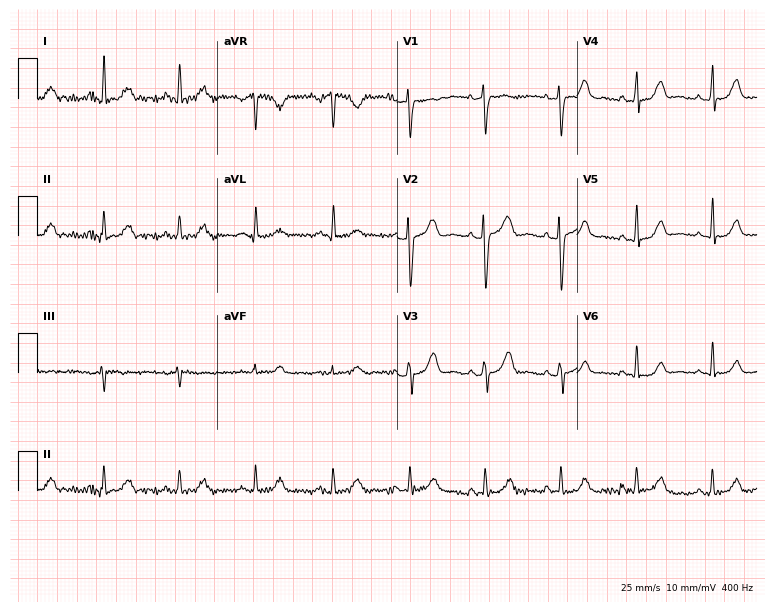
Electrocardiogram (7.3-second recording at 400 Hz), a 32-year-old female patient. Of the six screened findings (first-degree AV block, right bundle branch block (RBBB), left bundle branch block (LBBB), sinus bradycardia, atrial fibrillation (AF), sinus tachycardia), none is recorded.